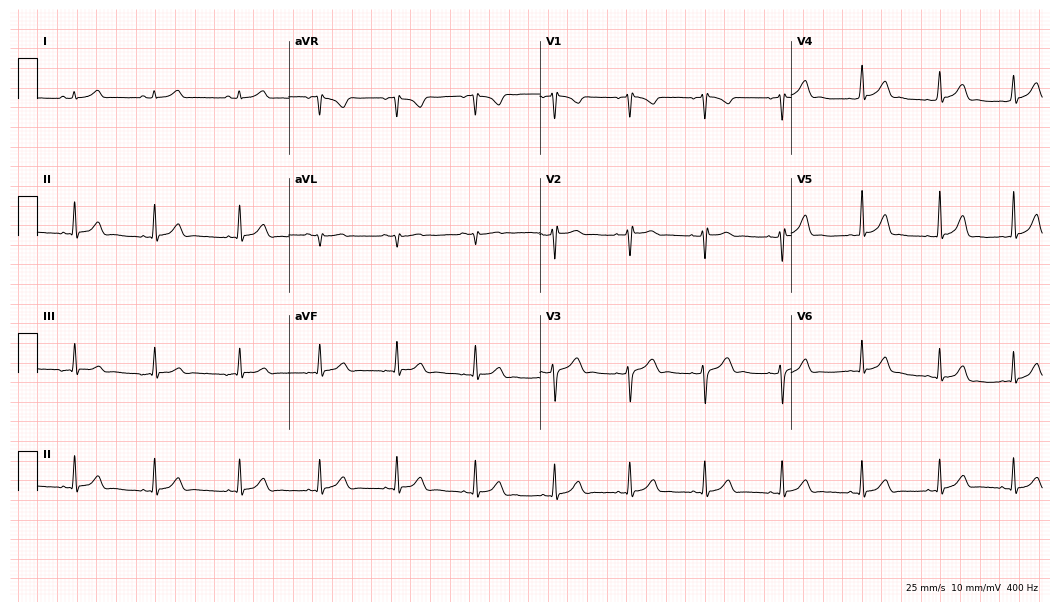
Standard 12-lead ECG recorded from a female patient, 27 years old (10.2-second recording at 400 Hz). None of these six findings is recorded: first-degree AV block, right bundle branch block, left bundle branch block, sinus bradycardia, atrial fibrillation, sinus tachycardia.